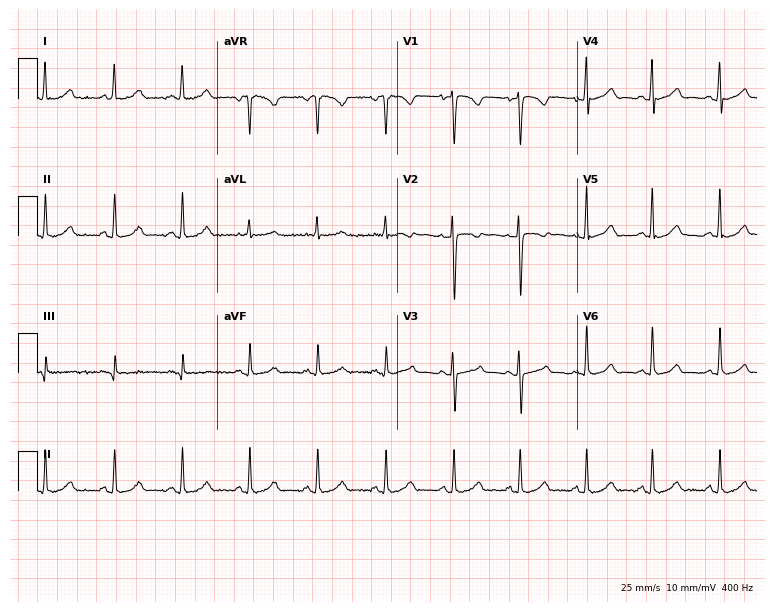
12-lead ECG (7.3-second recording at 400 Hz) from a 30-year-old female patient. Labelled as a normal ECG.